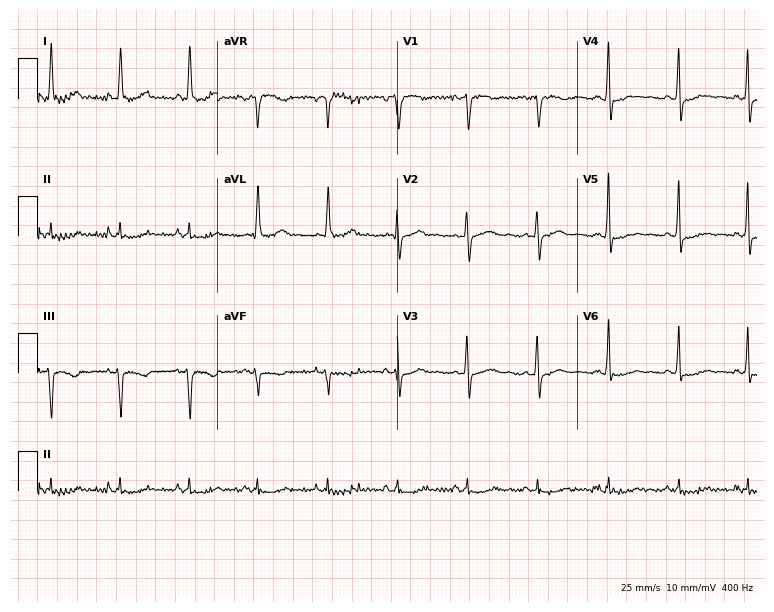
12-lead ECG (7.3-second recording at 400 Hz) from a woman, 58 years old. Screened for six findings — first-degree AV block, right bundle branch block, left bundle branch block, sinus bradycardia, atrial fibrillation, sinus tachycardia — none is recorded.